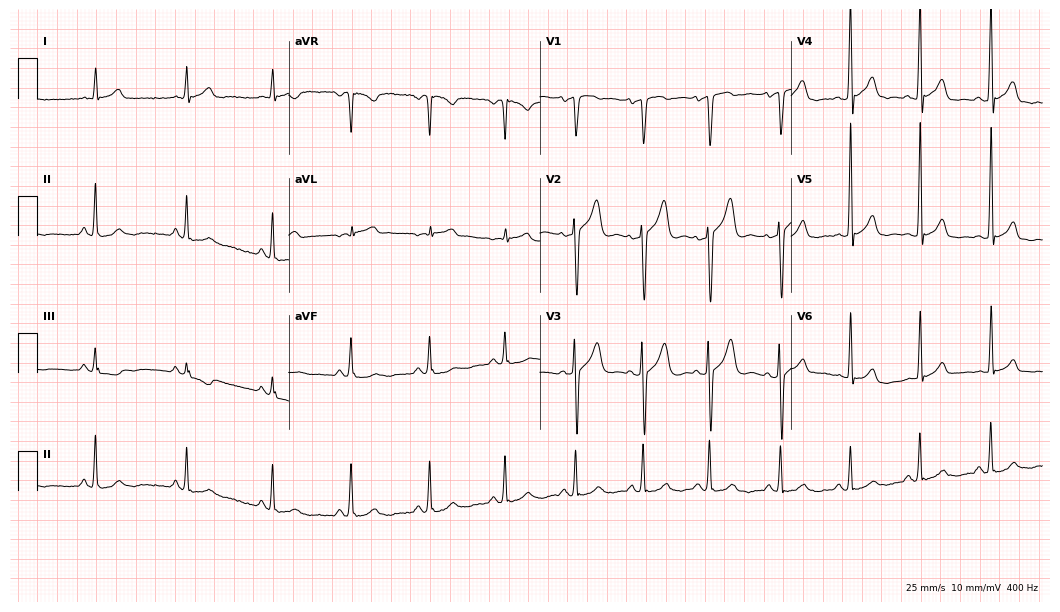
Standard 12-lead ECG recorded from a man, 50 years old. Read as a normal ECG.